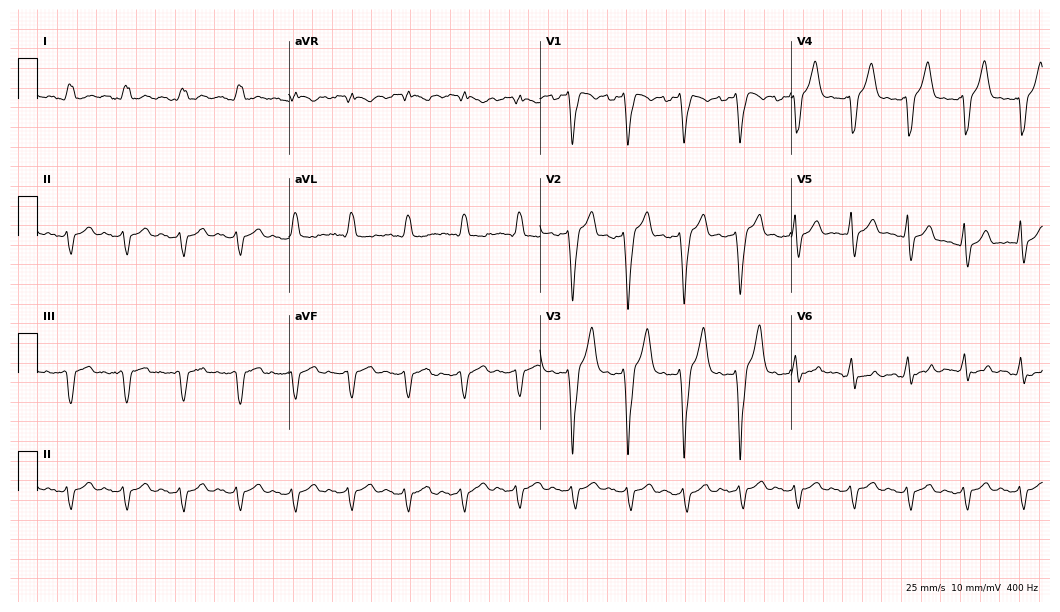
Standard 12-lead ECG recorded from a man, 55 years old. The tracing shows sinus tachycardia (a sinus rate of 100 beats per minute or more).